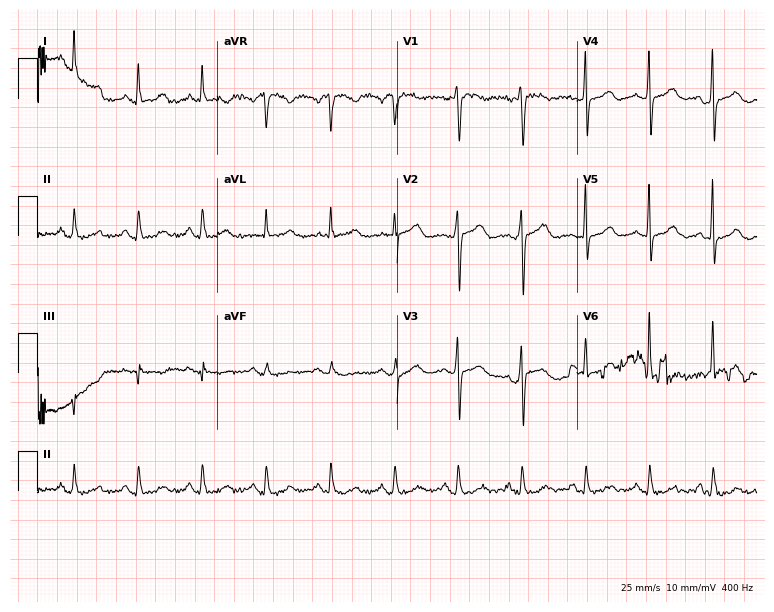
12-lead ECG from a woman, 61 years old (7.3-second recording at 400 Hz). Recorded interpretation: within normal limits.